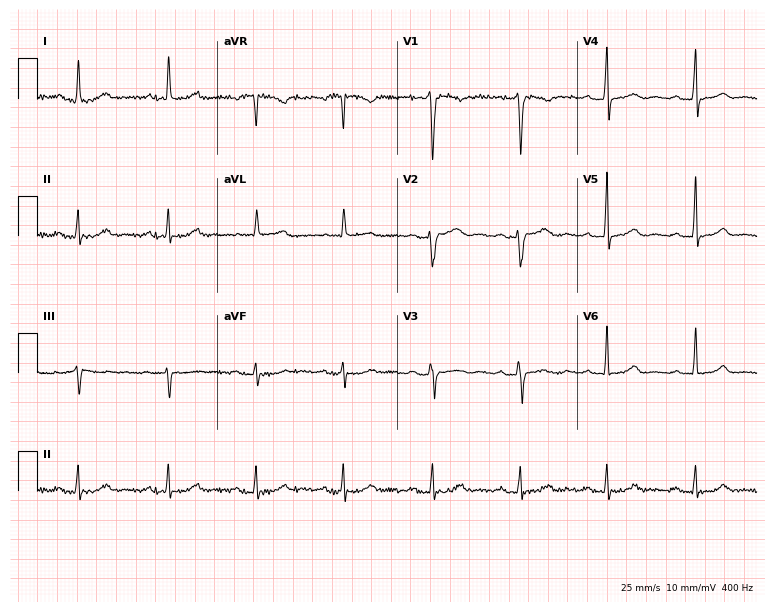
ECG (7.3-second recording at 400 Hz) — a 54-year-old woman. Labelled as a normal ECG.